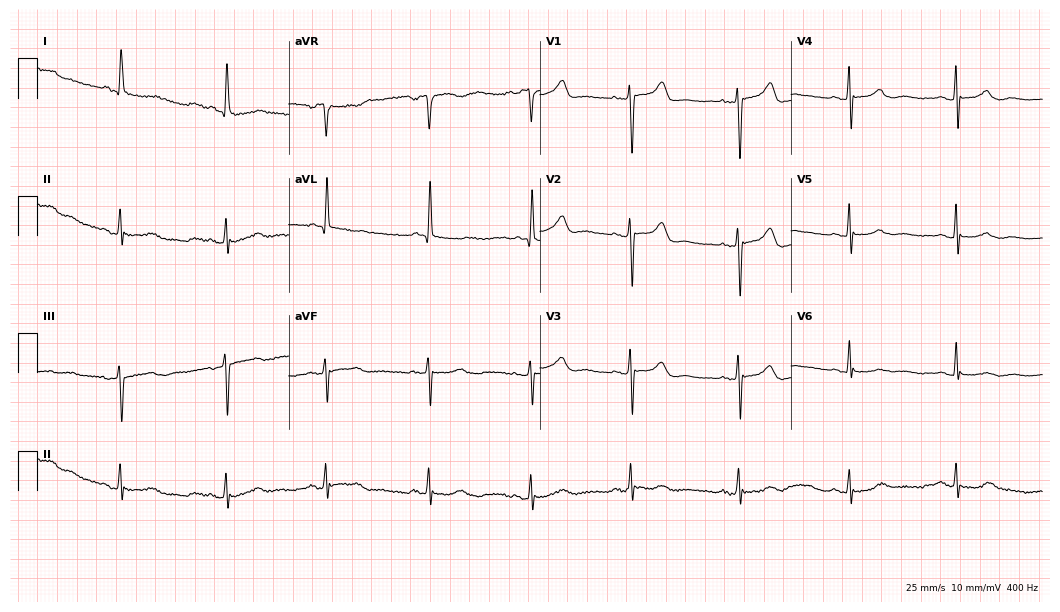
12-lead ECG (10.2-second recording at 400 Hz) from a female patient, 71 years old. Labelled as a normal ECG.